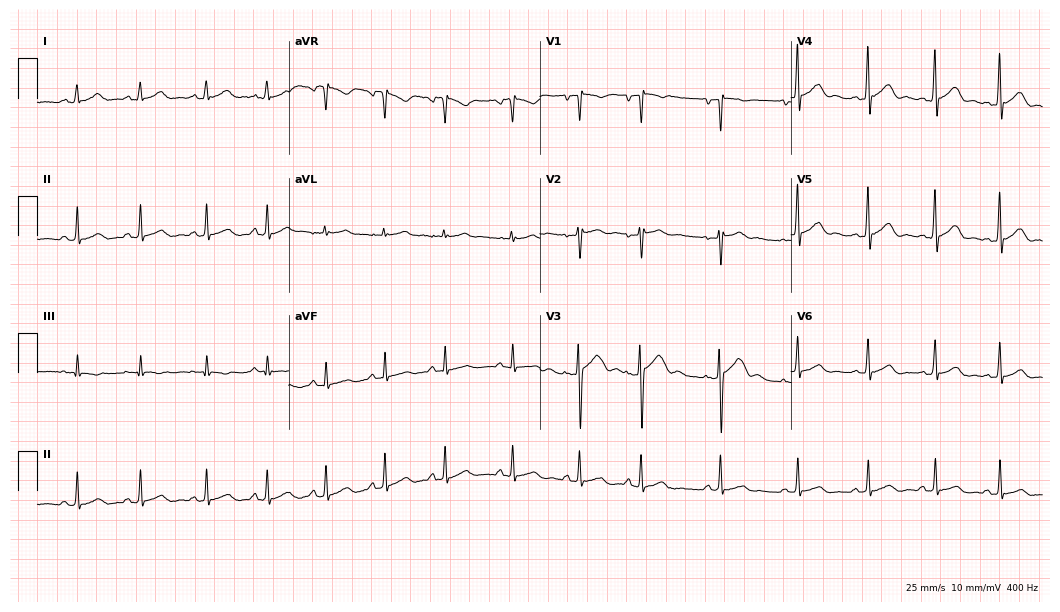
ECG (10.2-second recording at 400 Hz) — a 17-year-old male. Labelled as a normal ECG.